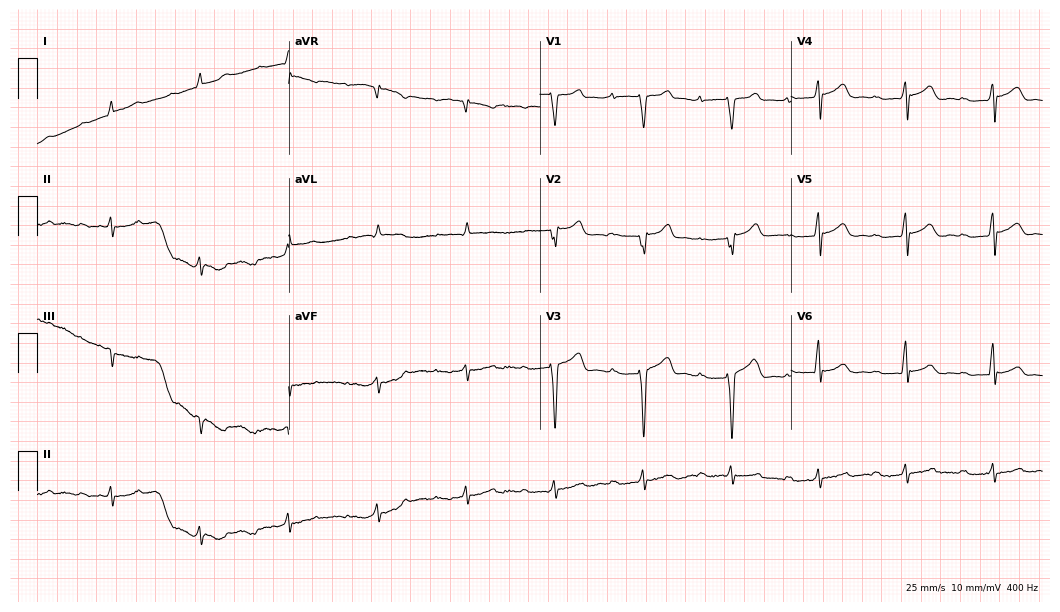
ECG (10.2-second recording at 400 Hz) — a male, 47 years old. Screened for six findings — first-degree AV block, right bundle branch block, left bundle branch block, sinus bradycardia, atrial fibrillation, sinus tachycardia — none is recorded. Findings outside these six are not listed.